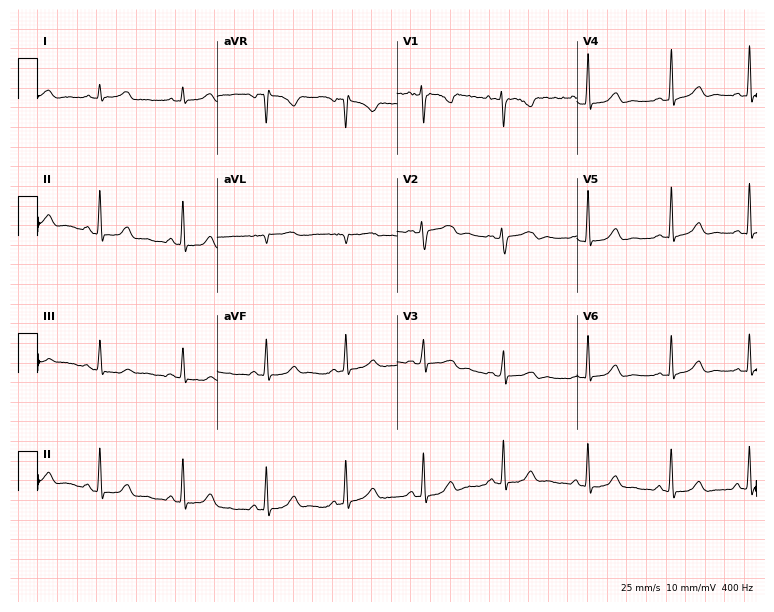
12-lead ECG from a 32-year-old female. Screened for six findings — first-degree AV block, right bundle branch block, left bundle branch block, sinus bradycardia, atrial fibrillation, sinus tachycardia — none is recorded.